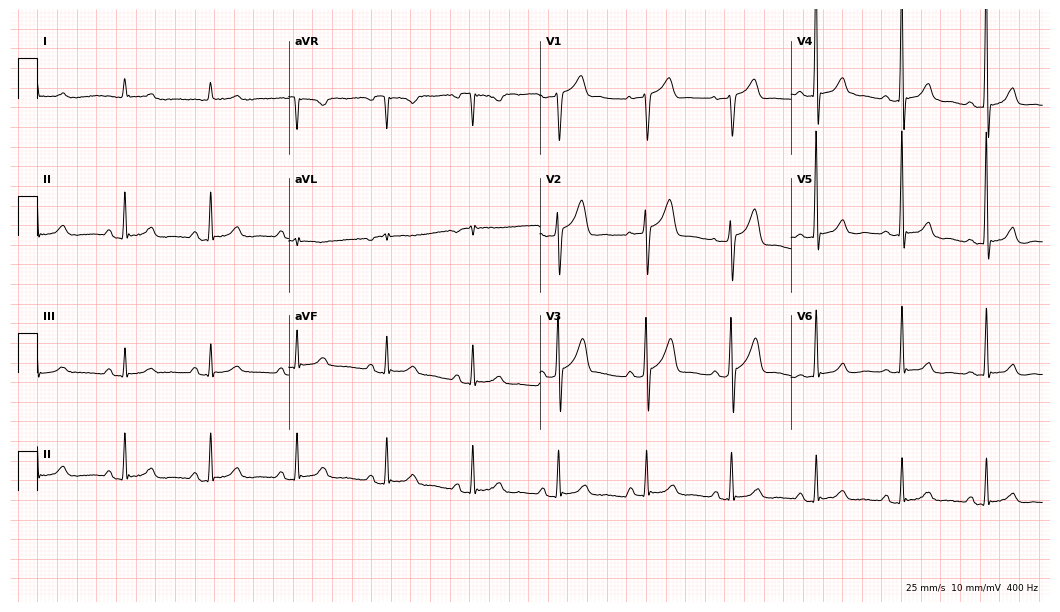
12-lead ECG (10.2-second recording at 400 Hz) from a 76-year-old male patient. Screened for six findings — first-degree AV block, right bundle branch block, left bundle branch block, sinus bradycardia, atrial fibrillation, sinus tachycardia — none is recorded.